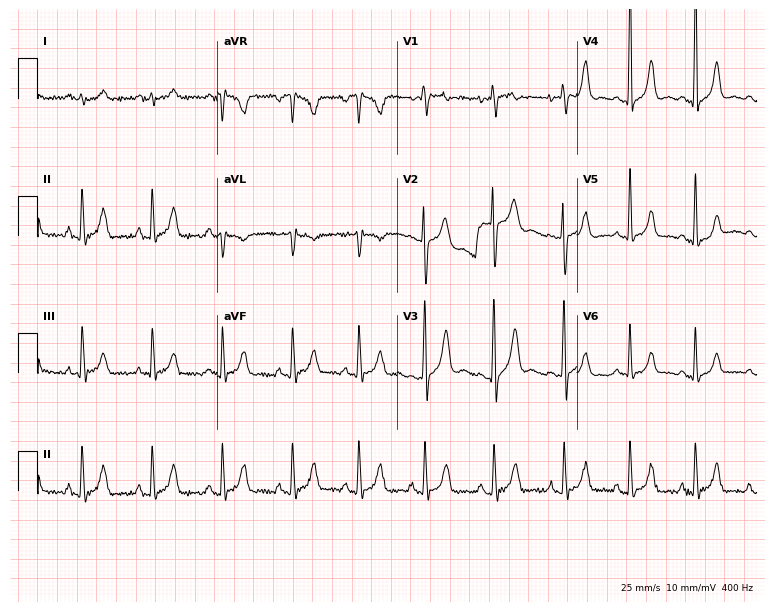
Electrocardiogram (7.3-second recording at 400 Hz), a man, 19 years old. Of the six screened findings (first-degree AV block, right bundle branch block, left bundle branch block, sinus bradycardia, atrial fibrillation, sinus tachycardia), none is recorded. Findings outside these six are not listed.